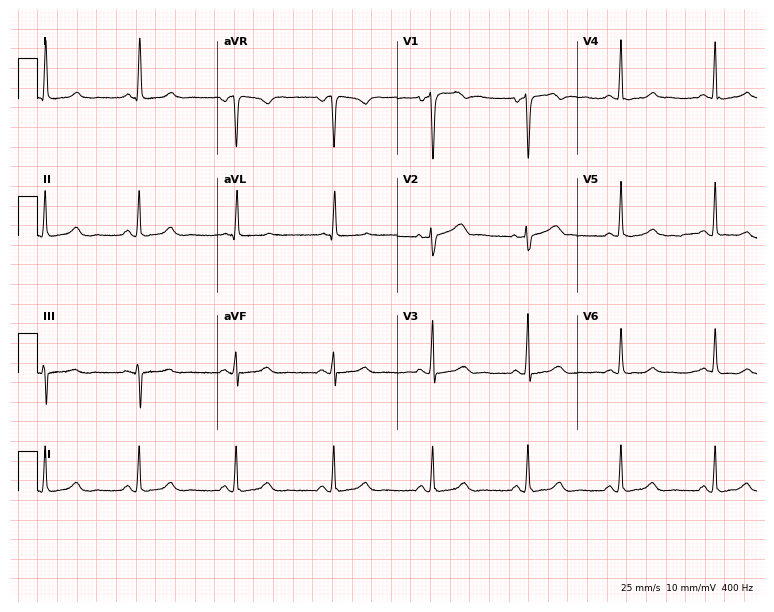
Electrocardiogram, a female, 54 years old. Overall reading on record: normal ECG.